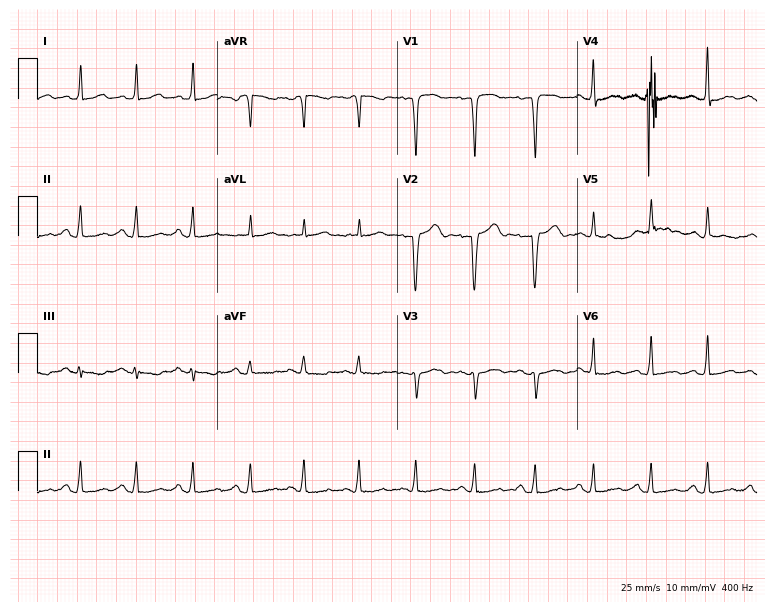
ECG — a 49-year-old female patient. Findings include sinus tachycardia (a sinus rate of 100 beats per minute or more).